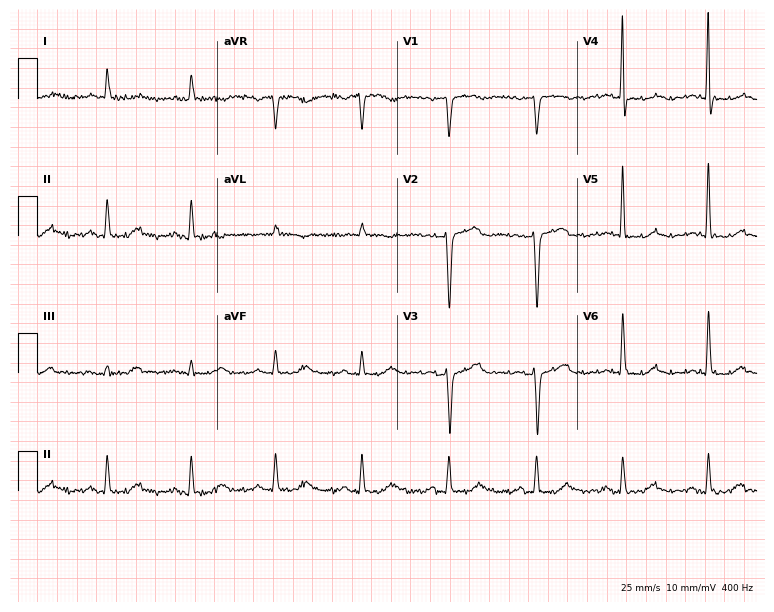
ECG — a male, 76 years old. Screened for six findings — first-degree AV block, right bundle branch block, left bundle branch block, sinus bradycardia, atrial fibrillation, sinus tachycardia — none is recorded.